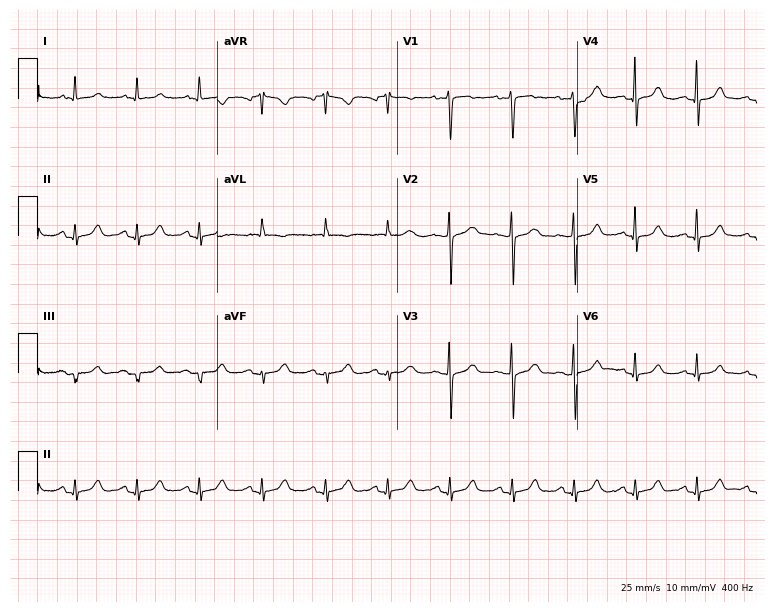
12-lead ECG from a female patient, 67 years old (7.3-second recording at 400 Hz). Recorded interpretation: within normal limits.